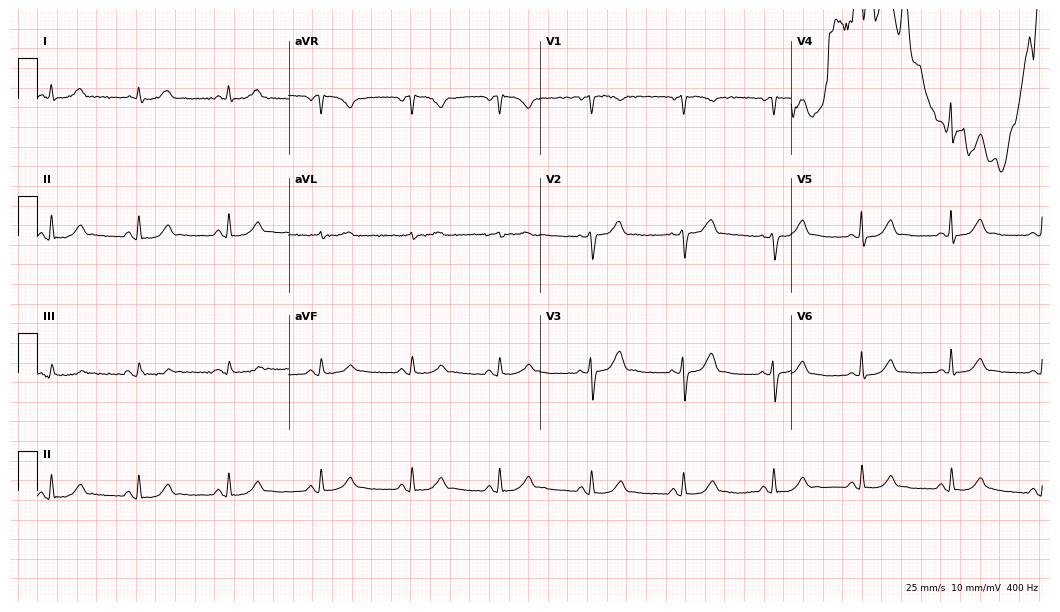
12-lead ECG (10.2-second recording at 400 Hz) from a 74-year-old woman. Screened for six findings — first-degree AV block, right bundle branch block (RBBB), left bundle branch block (LBBB), sinus bradycardia, atrial fibrillation (AF), sinus tachycardia — none is recorded.